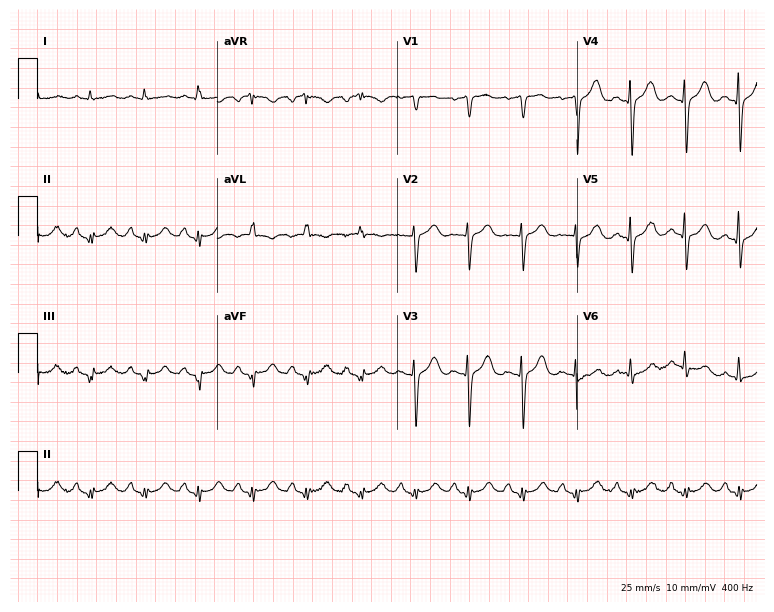
12-lead ECG from a female patient, 65 years old. Findings include sinus tachycardia (a sinus rate of 100 beats per minute or more).